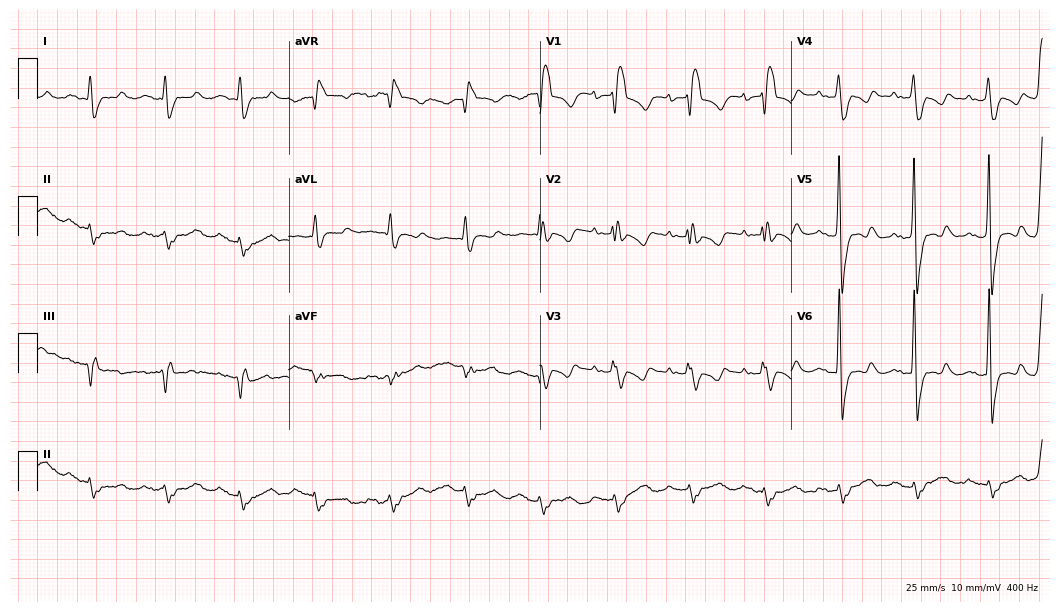
12-lead ECG from a male, 65 years old. Findings include right bundle branch block.